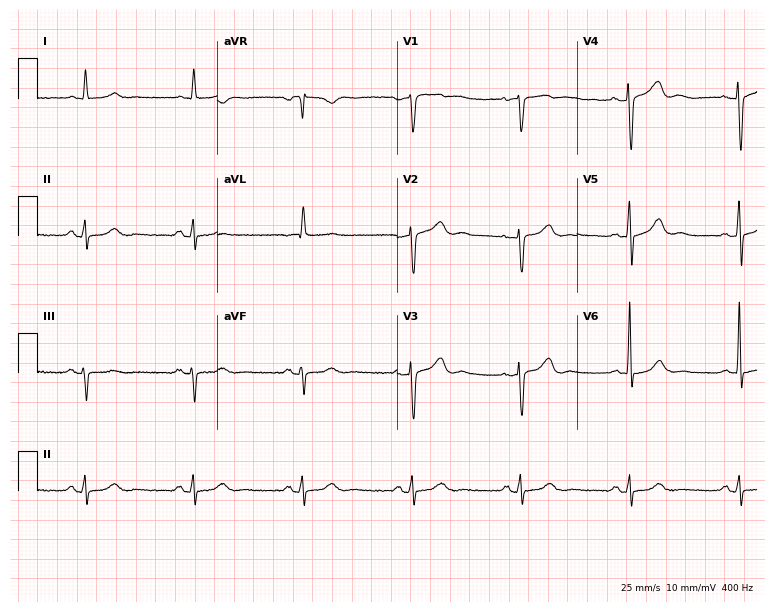
Electrocardiogram, a 73-year-old male patient. Overall reading on record: normal ECG.